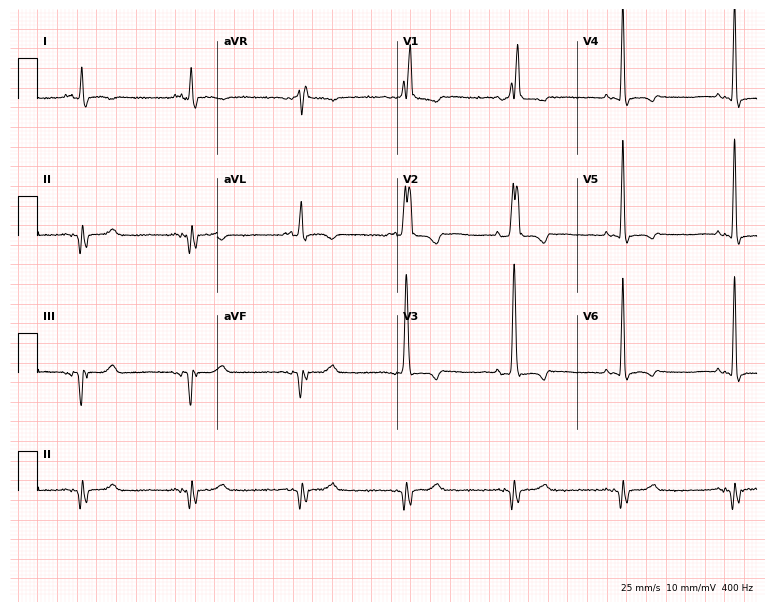
12-lead ECG (7.3-second recording at 400 Hz) from a male patient, 74 years old. Screened for six findings — first-degree AV block, right bundle branch block, left bundle branch block, sinus bradycardia, atrial fibrillation, sinus tachycardia — none is recorded.